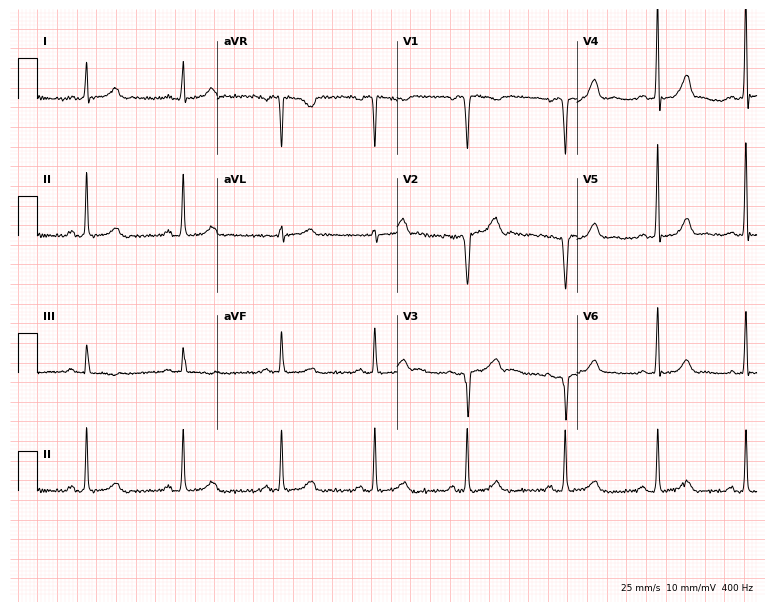
12-lead ECG (7.3-second recording at 400 Hz) from a 46-year-old woman. Labelled as a normal ECG.